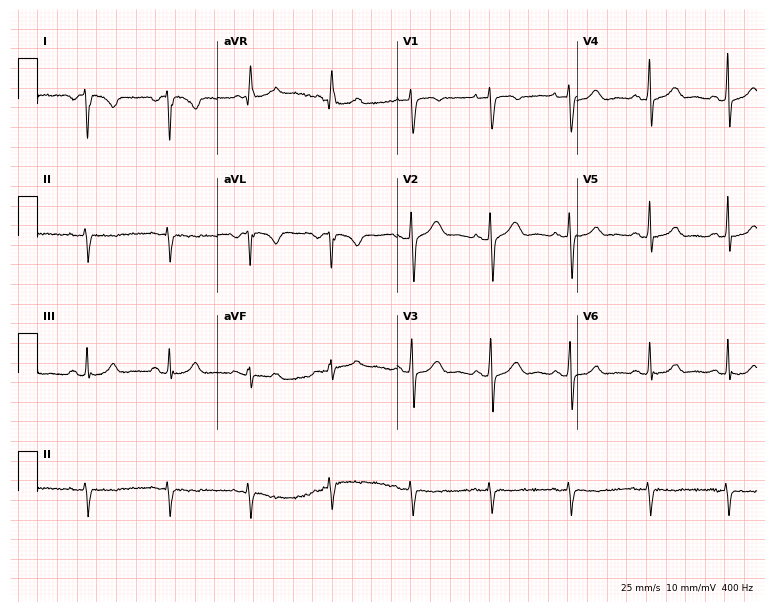
12-lead ECG from a 54-year-old female patient (7.3-second recording at 400 Hz). No first-degree AV block, right bundle branch block (RBBB), left bundle branch block (LBBB), sinus bradycardia, atrial fibrillation (AF) or sinus tachycardia recorded for this tracing. Only these six findings were labelled.